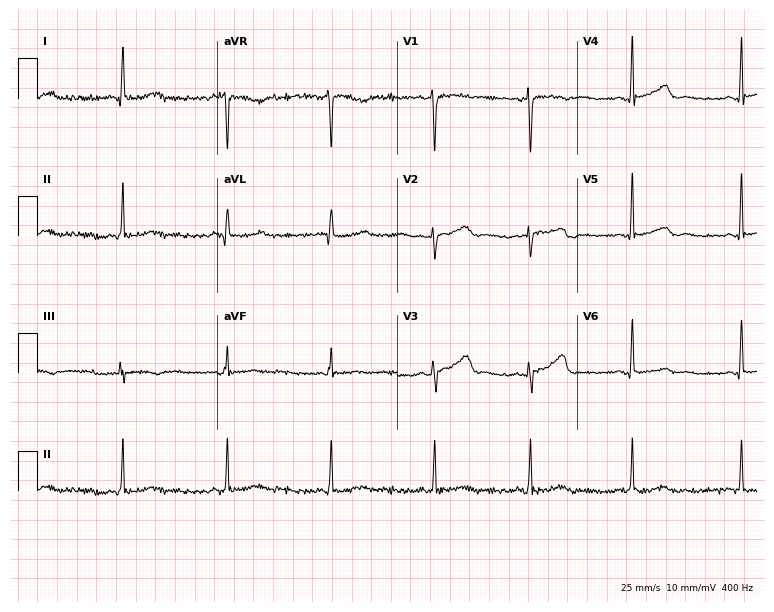
Electrocardiogram, a 34-year-old female patient. Overall reading on record: normal ECG.